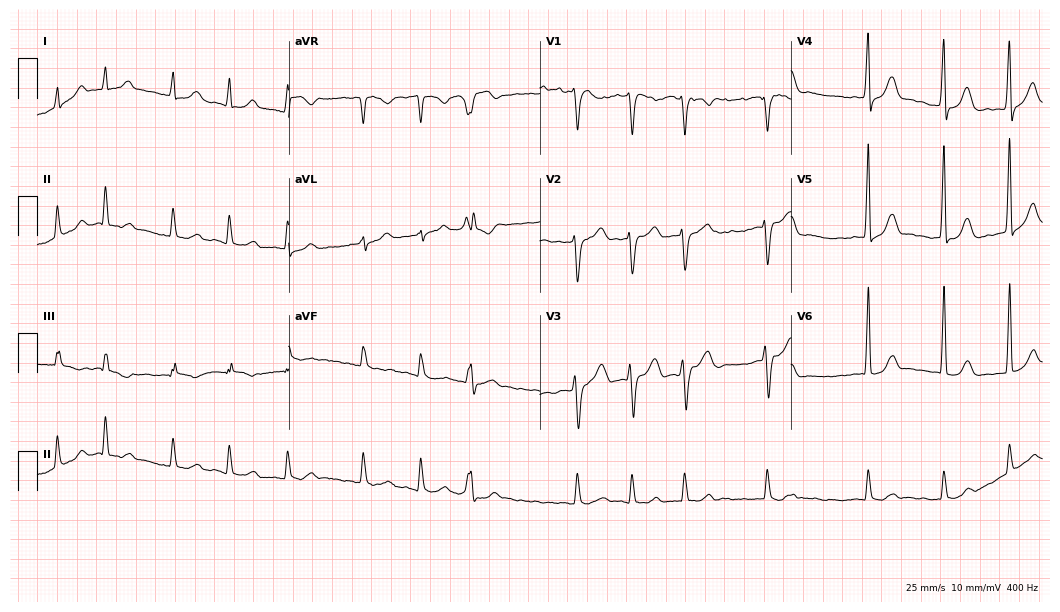
12-lead ECG from a male patient, 67 years old (10.2-second recording at 400 Hz). Shows atrial fibrillation.